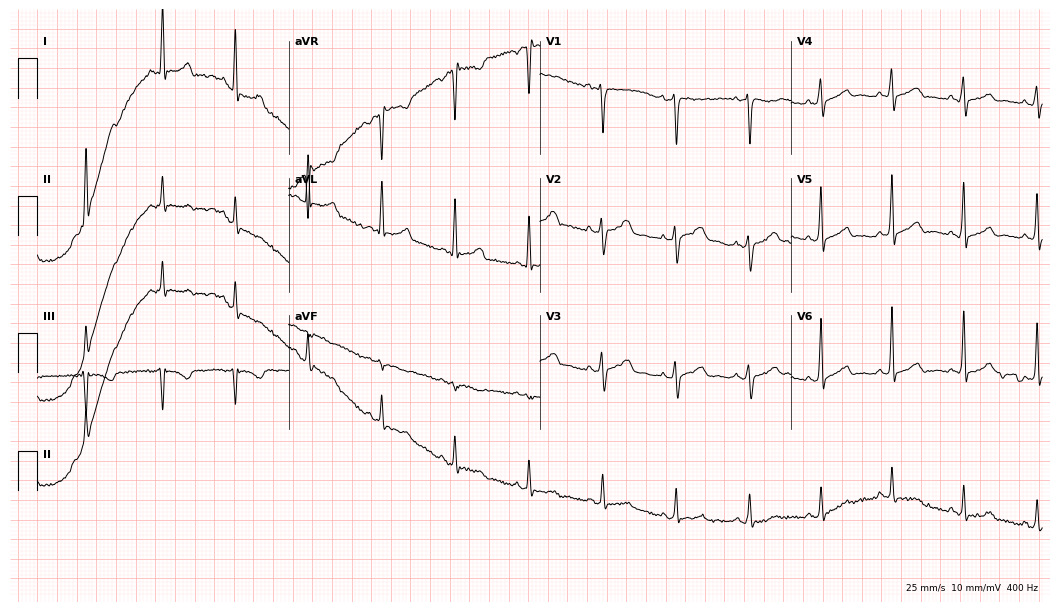
Resting 12-lead electrocardiogram (10.2-second recording at 400 Hz). Patient: a woman, 39 years old. None of these six findings is recorded: first-degree AV block, right bundle branch block, left bundle branch block, sinus bradycardia, atrial fibrillation, sinus tachycardia.